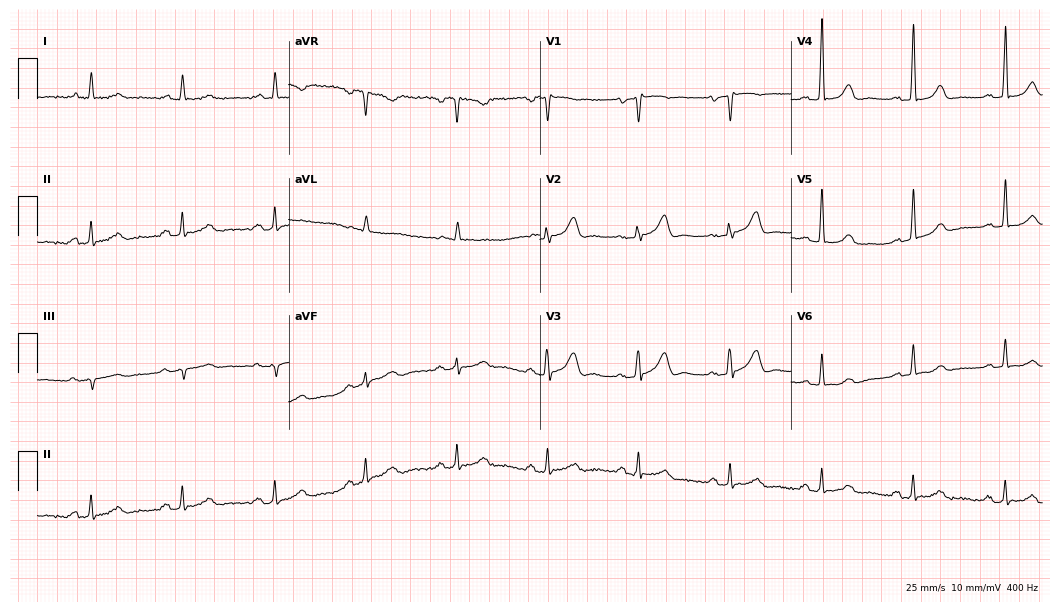
12-lead ECG from a female, 79 years old. Labelled as a normal ECG.